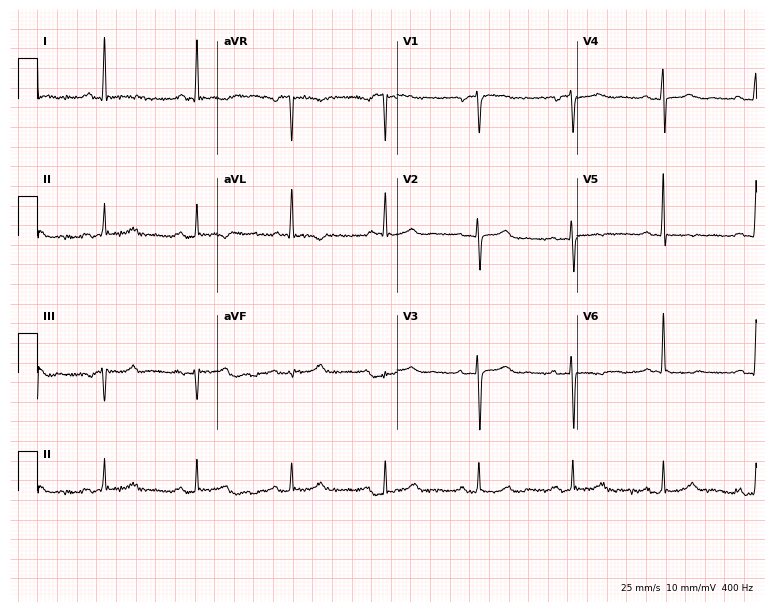
ECG — a woman, 70 years old. Screened for six findings — first-degree AV block, right bundle branch block (RBBB), left bundle branch block (LBBB), sinus bradycardia, atrial fibrillation (AF), sinus tachycardia — none is recorded. Only these six findings were labelled.